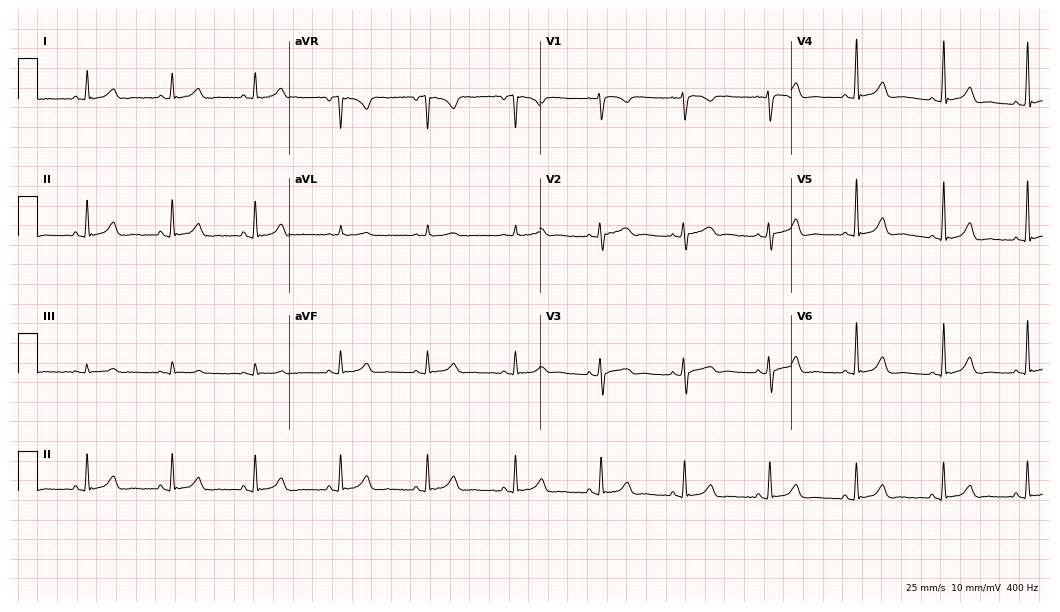
Standard 12-lead ECG recorded from a 50-year-old female. Read as a normal ECG.